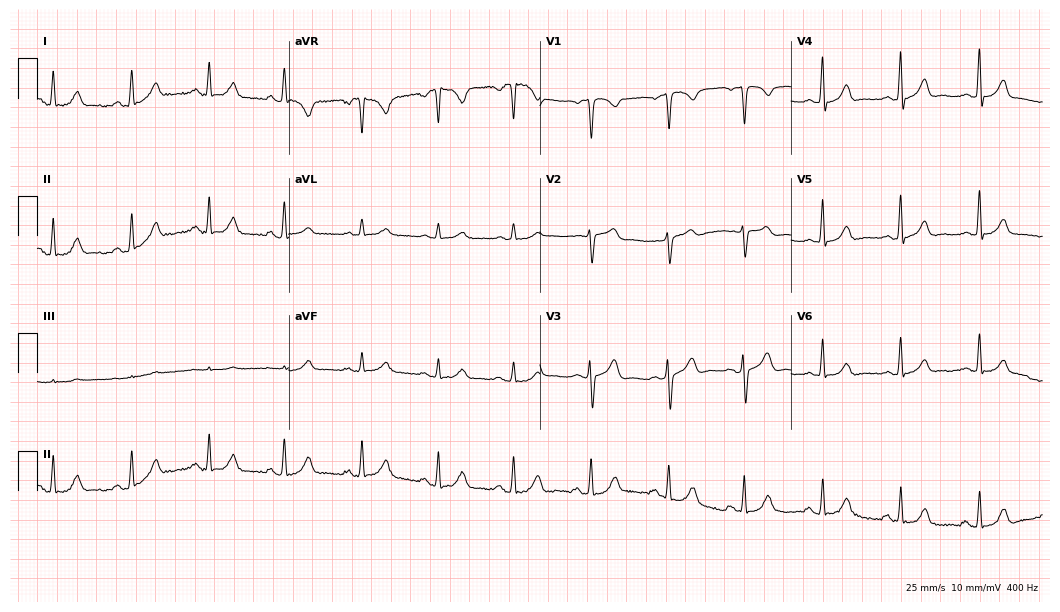
12-lead ECG (10.2-second recording at 400 Hz) from a female patient, 40 years old. Screened for six findings — first-degree AV block, right bundle branch block, left bundle branch block, sinus bradycardia, atrial fibrillation, sinus tachycardia — none is recorded. Findings outside these six are not listed.